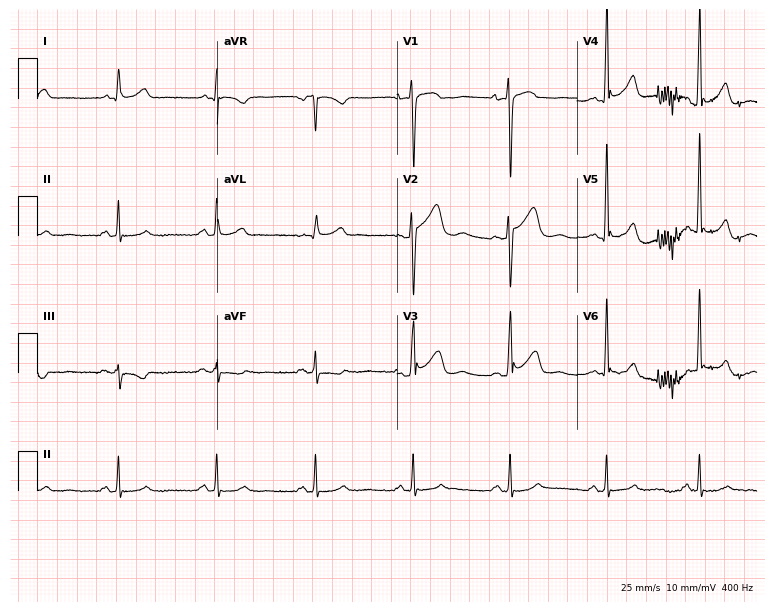
Standard 12-lead ECG recorded from a man, 53 years old (7.3-second recording at 400 Hz). Read as a normal ECG.